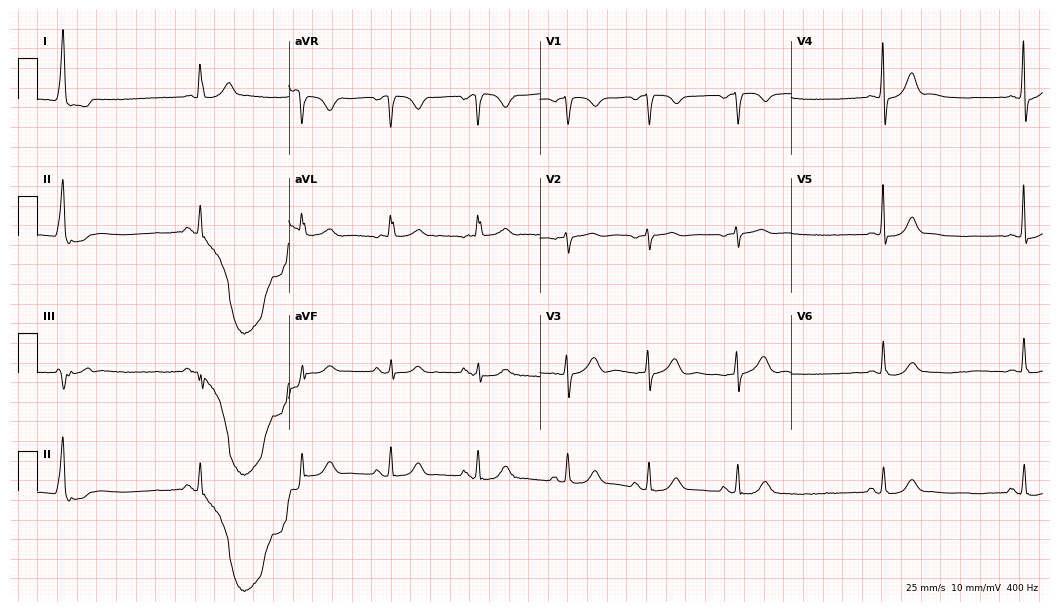
Electrocardiogram (10.2-second recording at 400 Hz), an 86-year-old female patient. Of the six screened findings (first-degree AV block, right bundle branch block (RBBB), left bundle branch block (LBBB), sinus bradycardia, atrial fibrillation (AF), sinus tachycardia), none is recorded.